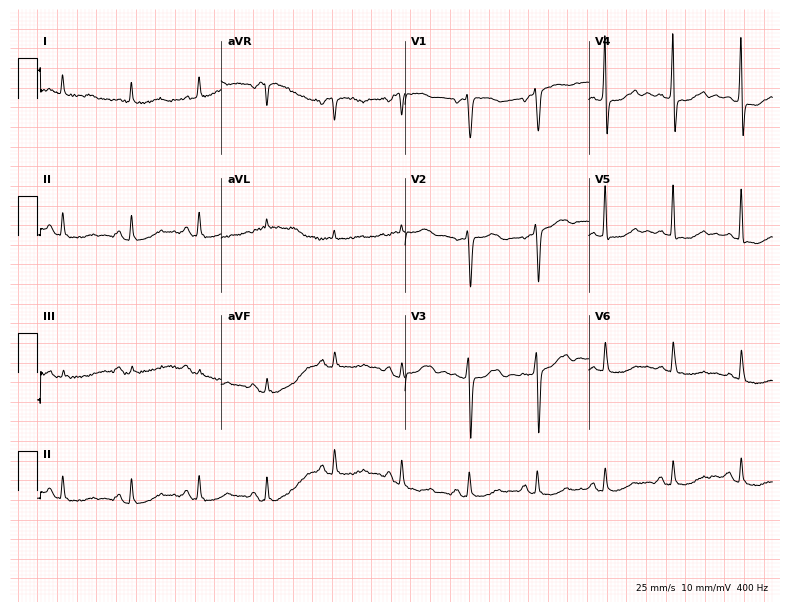
Resting 12-lead electrocardiogram (7.5-second recording at 400 Hz). Patient: a female, 77 years old. None of these six findings is recorded: first-degree AV block, right bundle branch block, left bundle branch block, sinus bradycardia, atrial fibrillation, sinus tachycardia. Other findings, if any, are not listed.